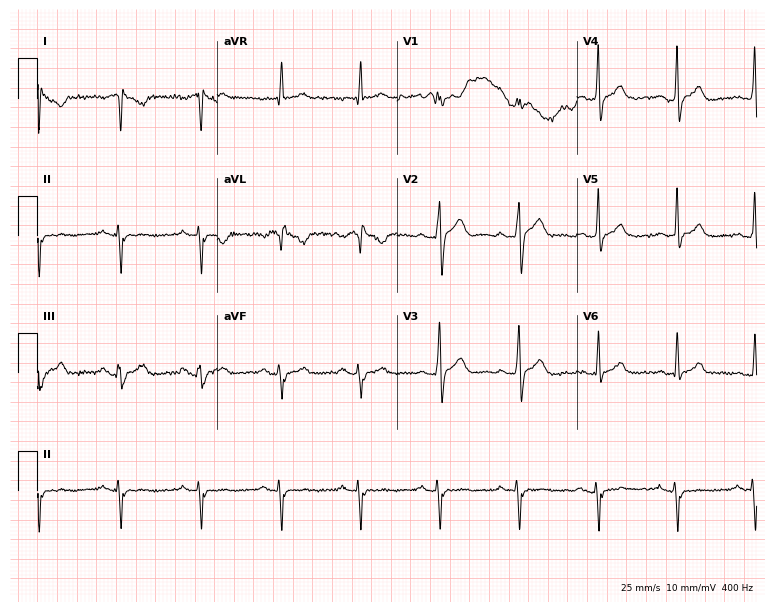
Standard 12-lead ECG recorded from a man, 50 years old. None of these six findings is recorded: first-degree AV block, right bundle branch block (RBBB), left bundle branch block (LBBB), sinus bradycardia, atrial fibrillation (AF), sinus tachycardia. Findings outside these six are not listed.